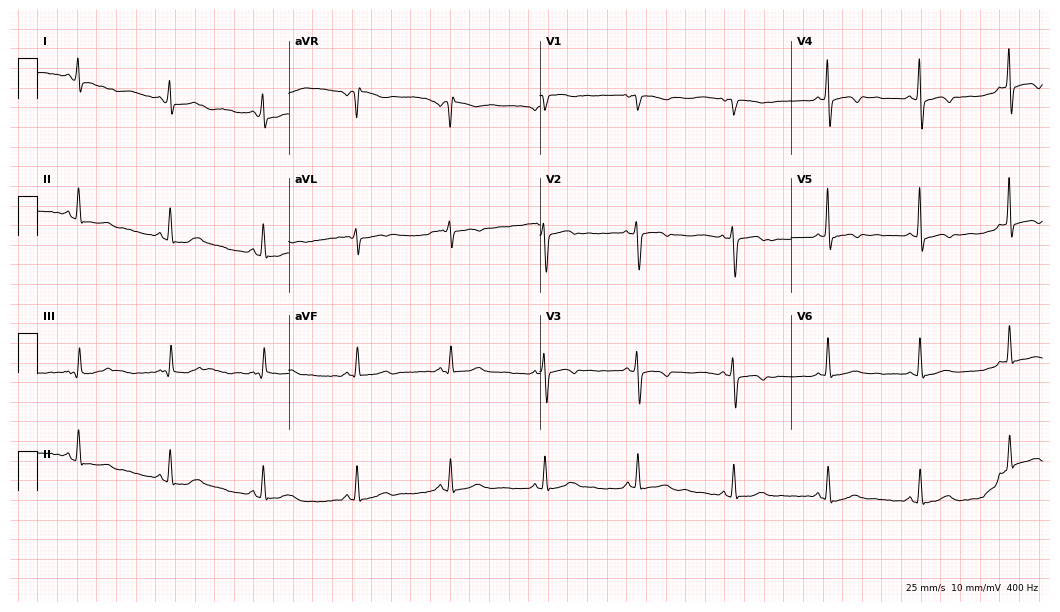
Standard 12-lead ECG recorded from a female, 54 years old. None of these six findings is recorded: first-degree AV block, right bundle branch block, left bundle branch block, sinus bradycardia, atrial fibrillation, sinus tachycardia.